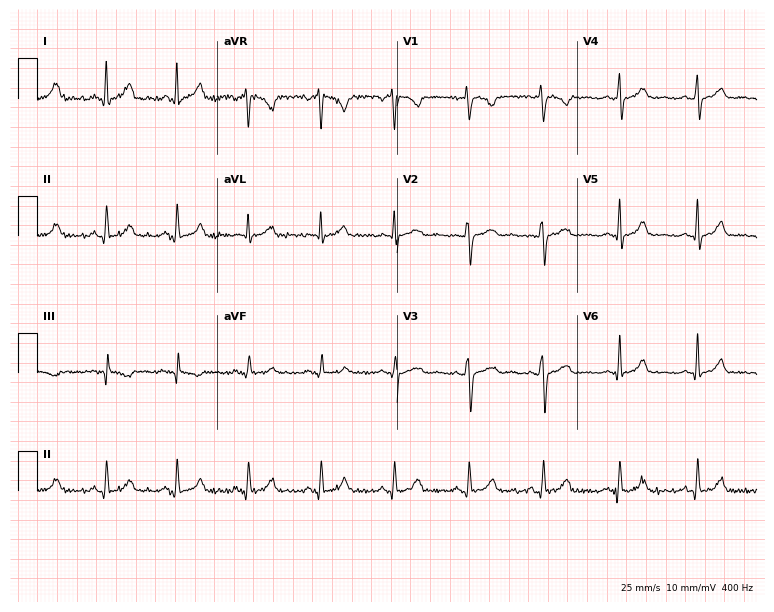
12-lead ECG from a 38-year-old woman (7.3-second recording at 400 Hz). Recorded interpretation: within normal limits.